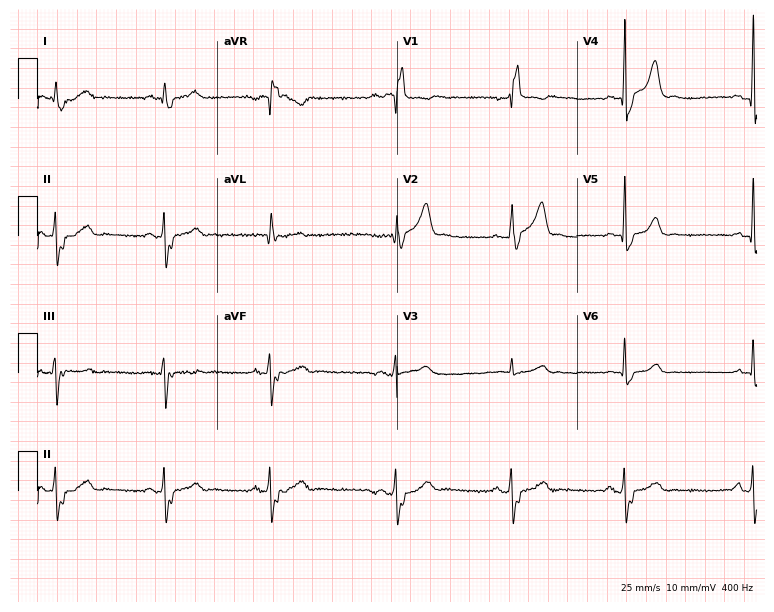
12-lead ECG from an 82-year-old male (7.3-second recording at 400 Hz). Shows right bundle branch block.